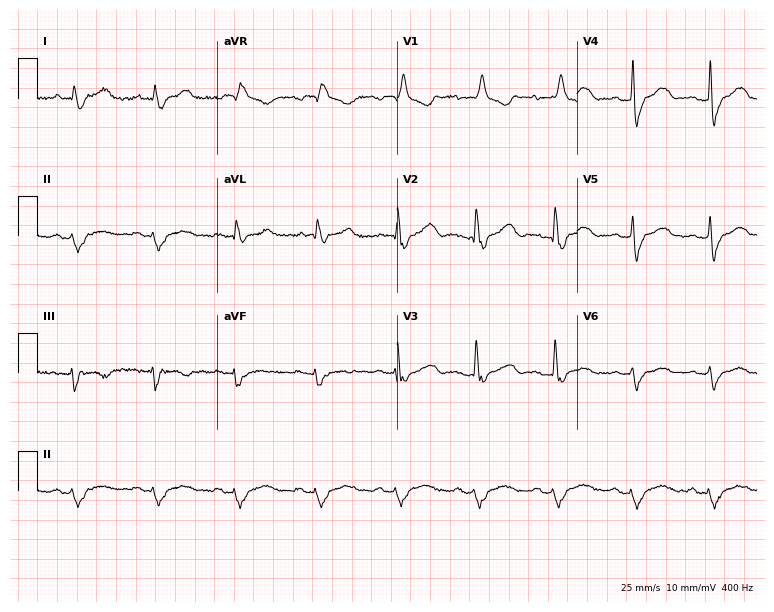
Electrocardiogram (7.3-second recording at 400 Hz), a 66-year-old female patient. Interpretation includes right bundle branch block.